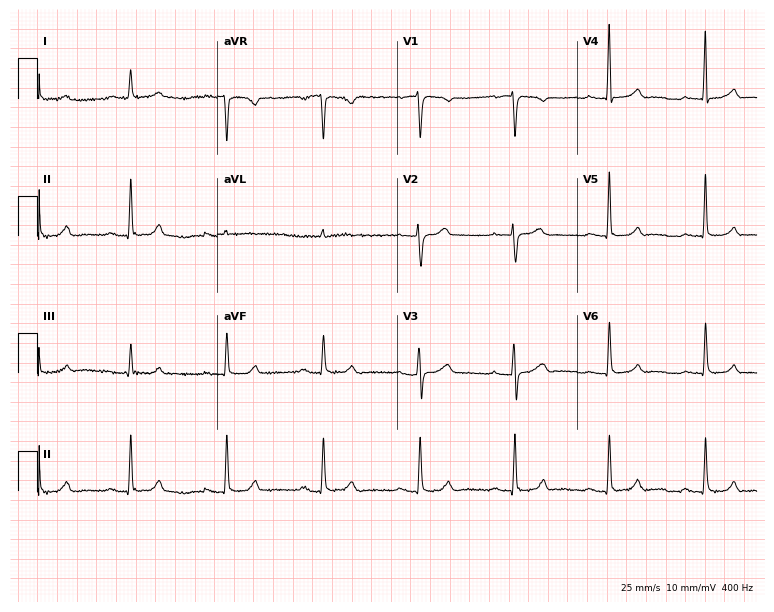
Standard 12-lead ECG recorded from a 59-year-old woman. None of these six findings is recorded: first-degree AV block, right bundle branch block, left bundle branch block, sinus bradycardia, atrial fibrillation, sinus tachycardia. Findings outside these six are not listed.